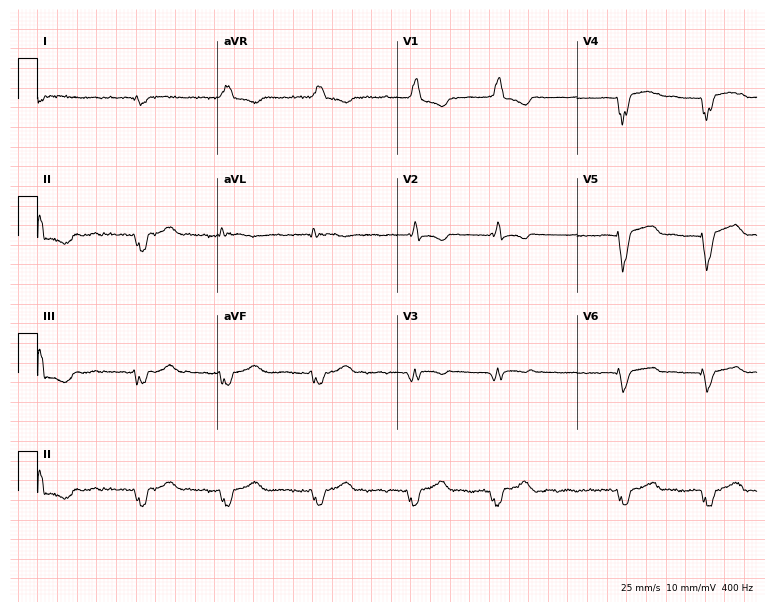
12-lead ECG (7.3-second recording at 400 Hz) from a 68-year-old male. Screened for six findings — first-degree AV block, right bundle branch block, left bundle branch block, sinus bradycardia, atrial fibrillation, sinus tachycardia — none is recorded. Other findings, if any, are not listed.